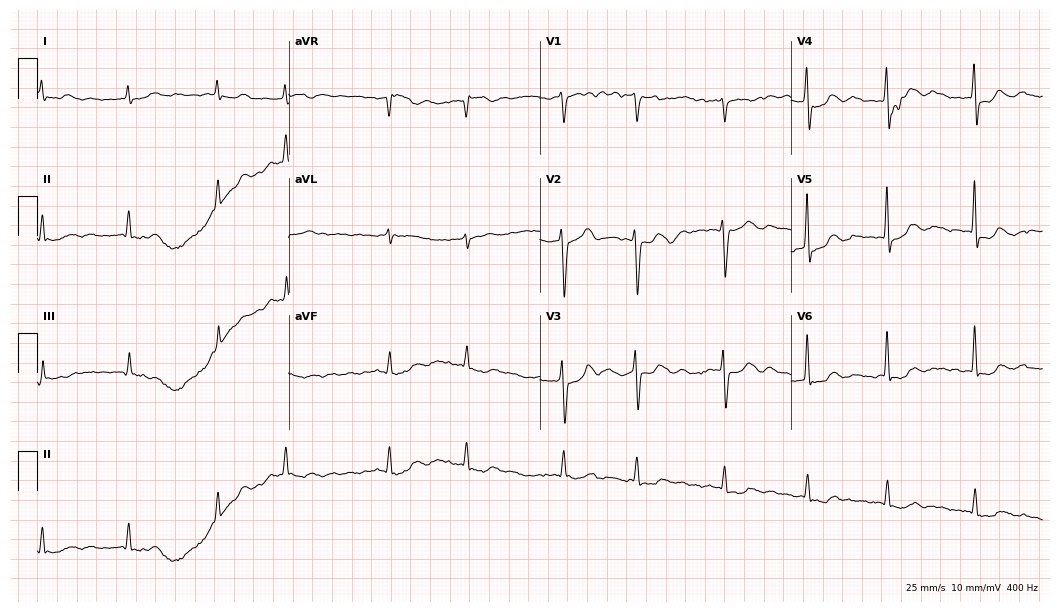
12-lead ECG from a female patient, 83 years old (10.2-second recording at 400 Hz). Shows atrial fibrillation (AF).